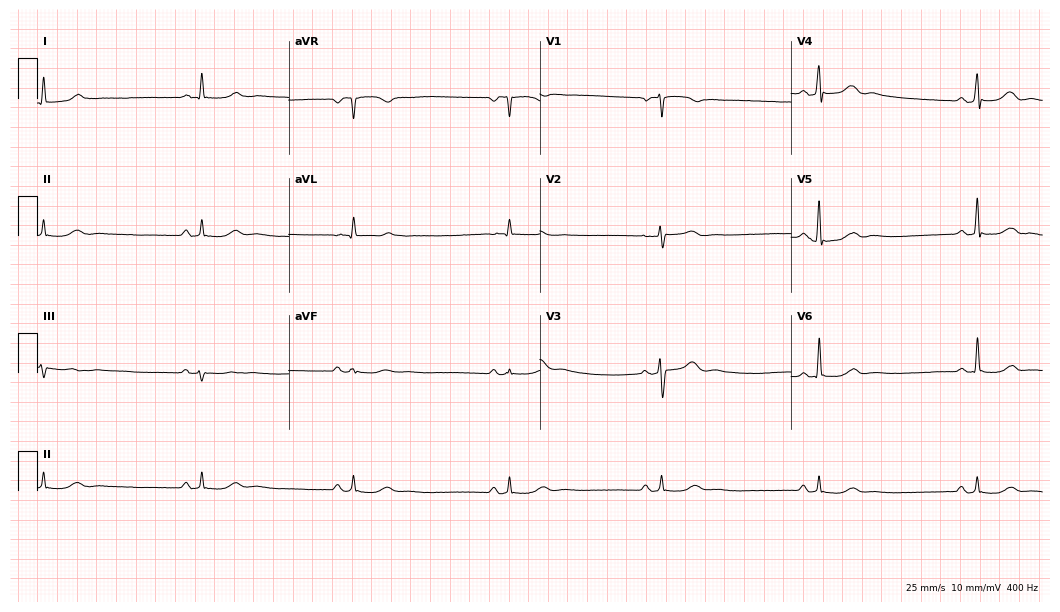
ECG — a female patient, 47 years old. Findings include sinus bradycardia (a sinus rate of 50 beats per minute or less).